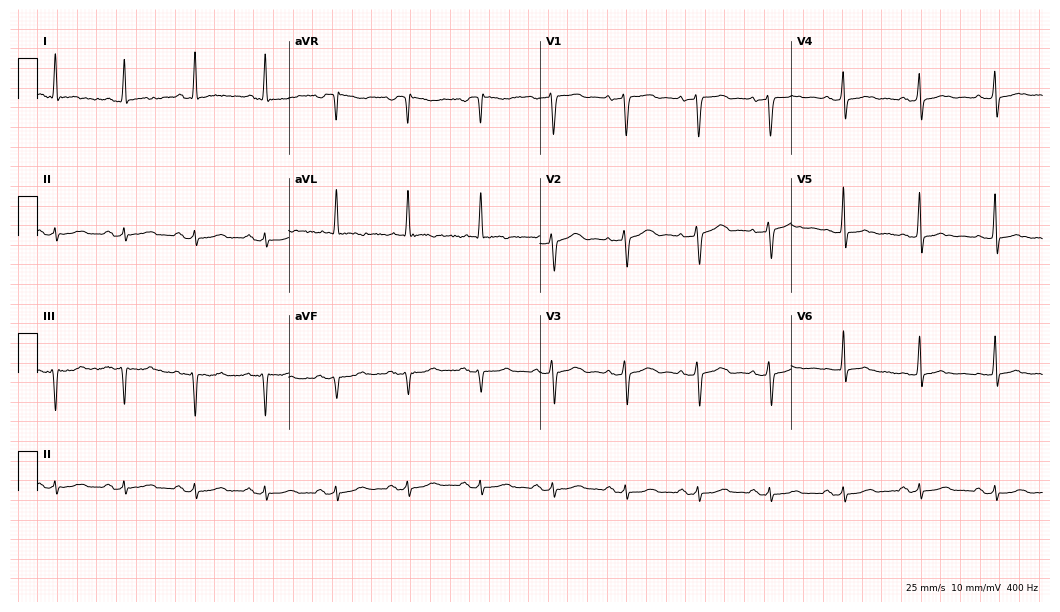
12-lead ECG (10.2-second recording at 400 Hz) from a 71-year-old woman. Screened for six findings — first-degree AV block, right bundle branch block (RBBB), left bundle branch block (LBBB), sinus bradycardia, atrial fibrillation (AF), sinus tachycardia — none is recorded. Other findings, if any, are not listed.